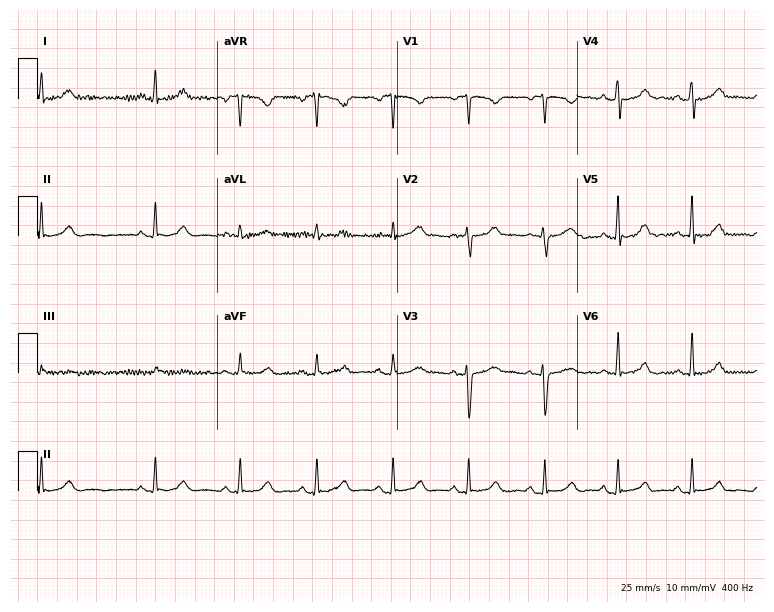
Electrocardiogram (7.3-second recording at 400 Hz), a 40-year-old female patient. Overall reading on record: normal ECG.